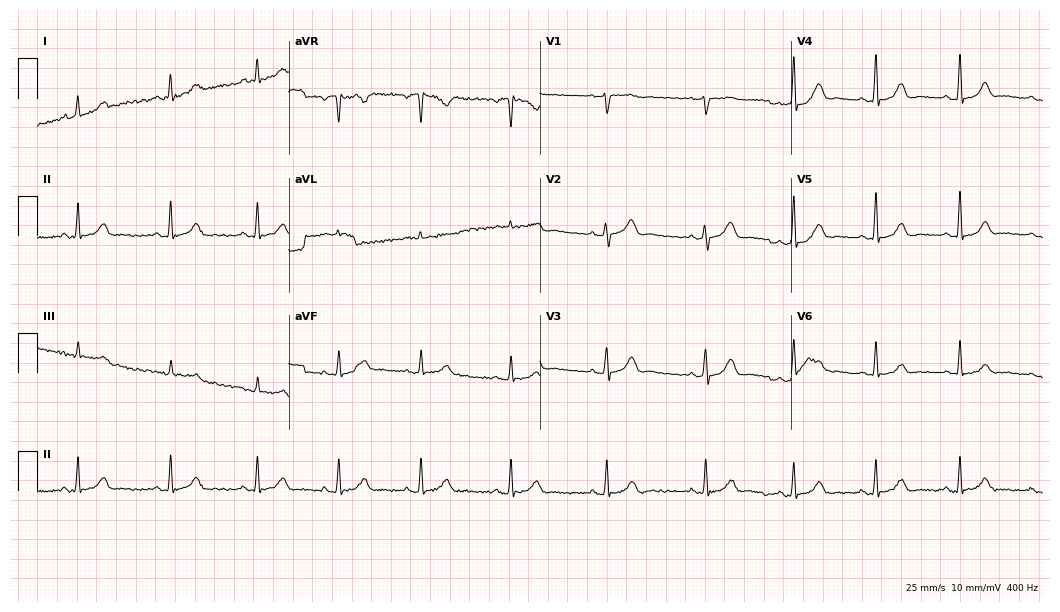
12-lead ECG from a 47-year-old female patient. Labelled as a normal ECG.